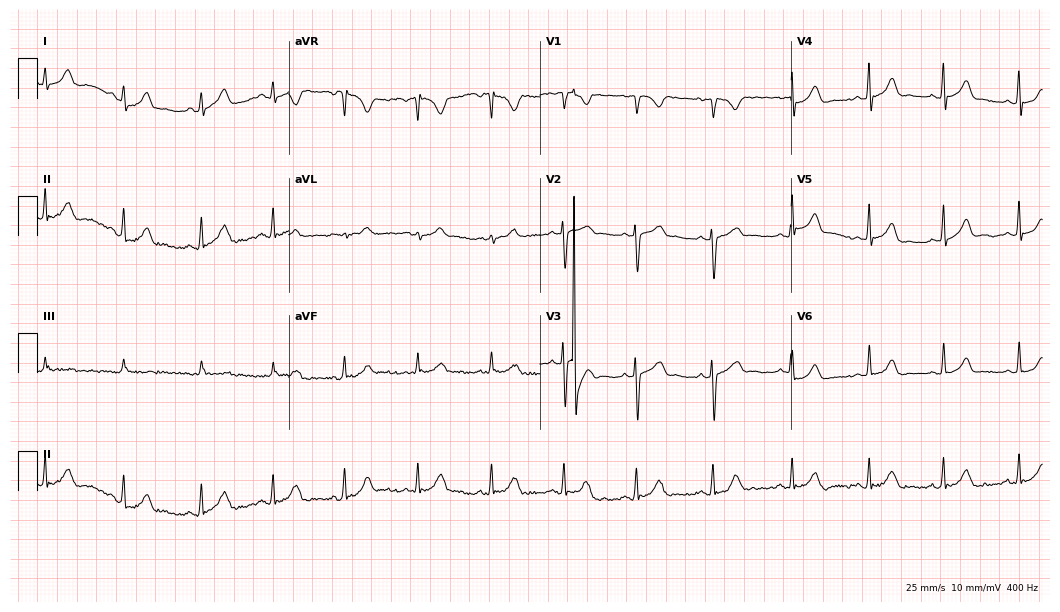
ECG — a female, 22 years old. Labelled as a normal ECG.